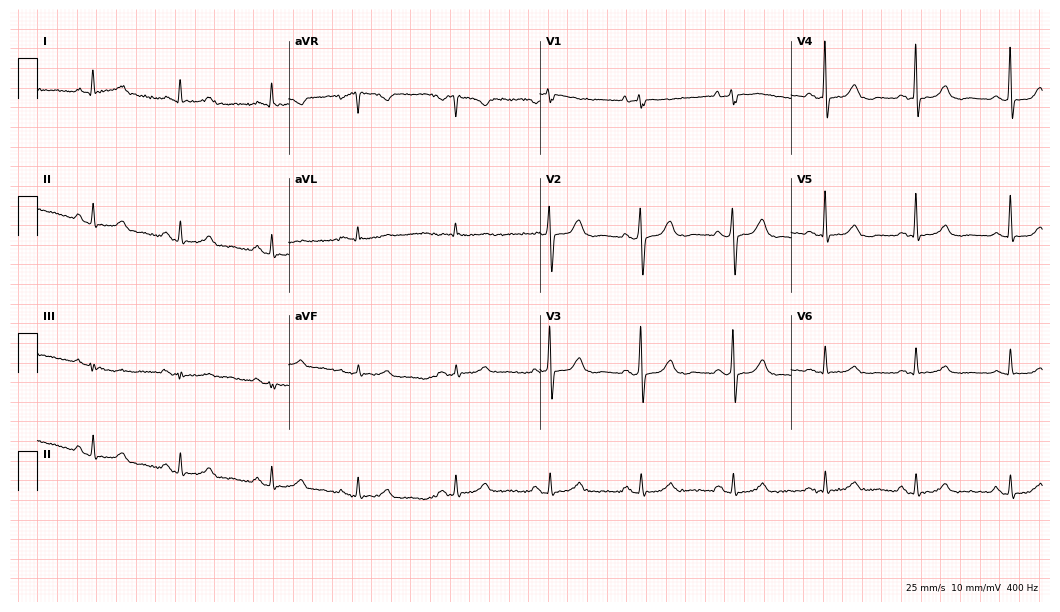
Standard 12-lead ECG recorded from a 73-year-old woman. Read as a normal ECG.